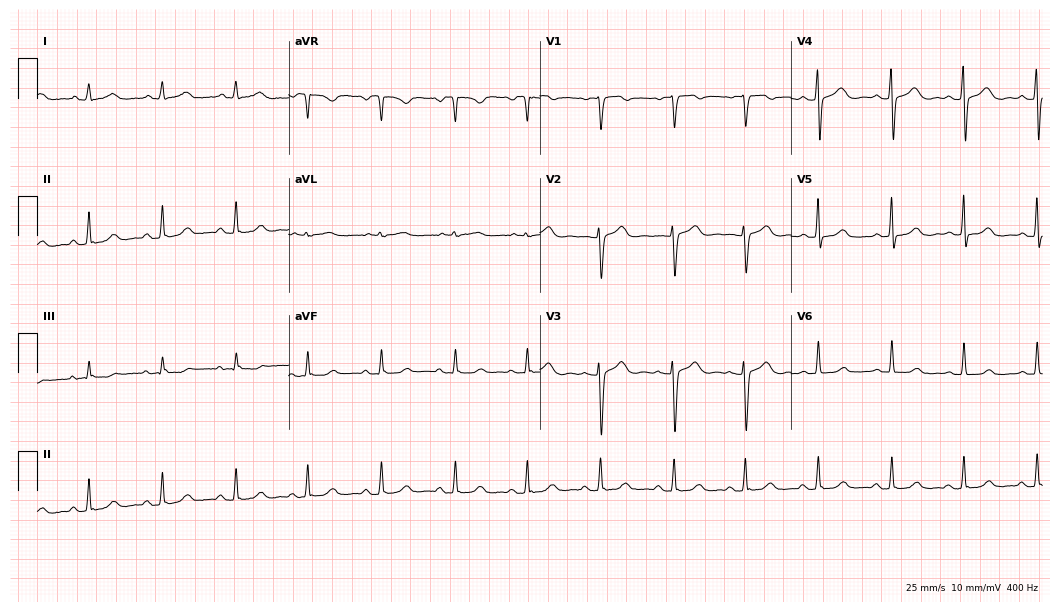
Electrocardiogram, a 38-year-old female patient. Overall reading on record: normal ECG.